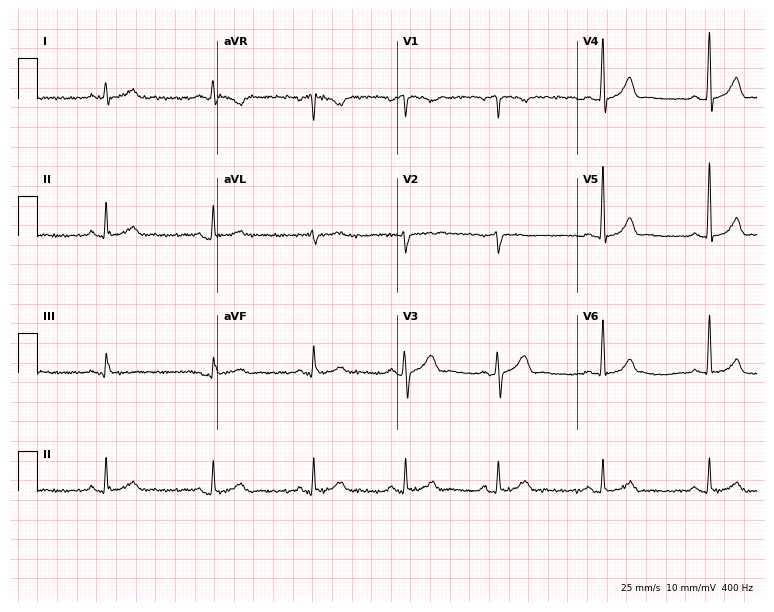
Standard 12-lead ECG recorded from a male, 38 years old. Read as a normal ECG.